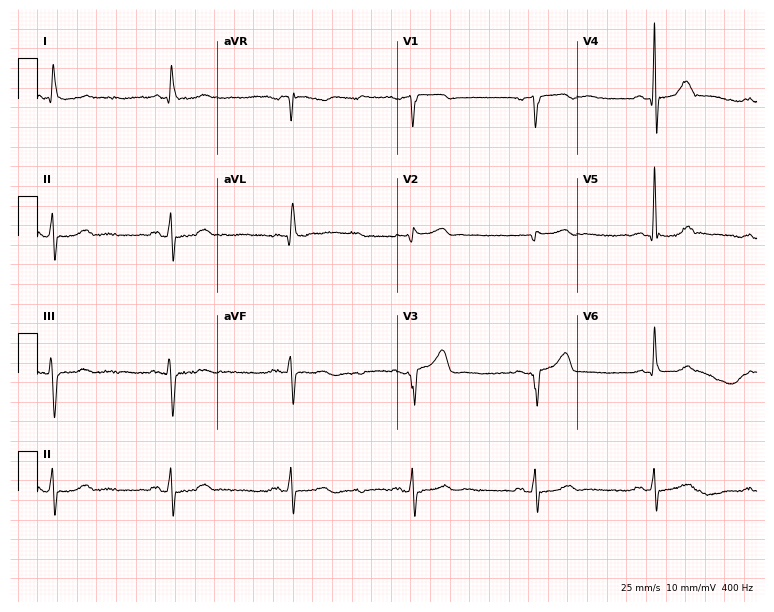
12-lead ECG from a male, 82 years old. Screened for six findings — first-degree AV block, right bundle branch block (RBBB), left bundle branch block (LBBB), sinus bradycardia, atrial fibrillation (AF), sinus tachycardia — none is recorded. Other findings, if any, are not listed.